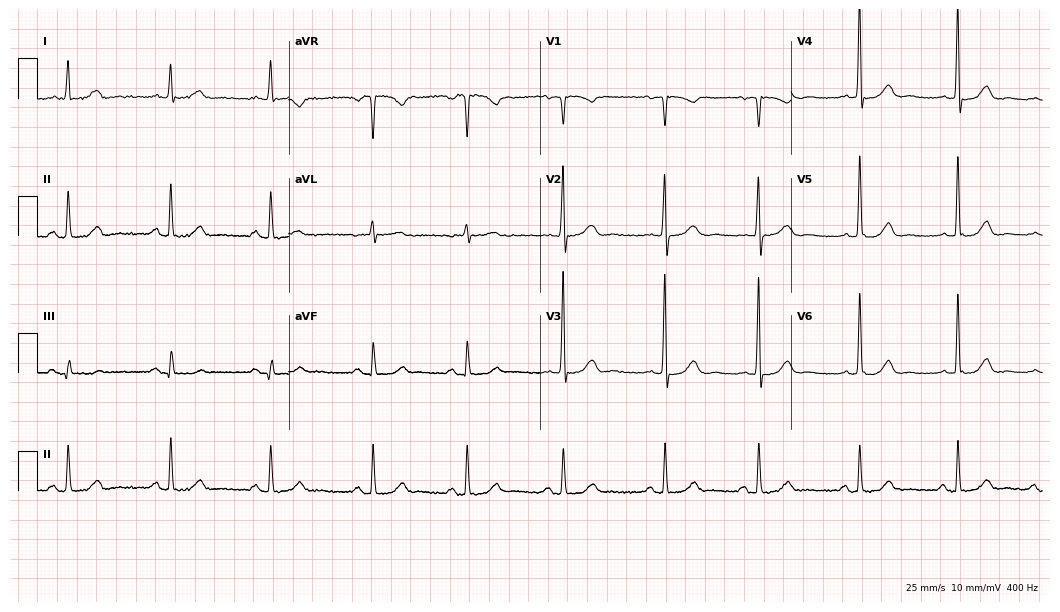
12-lead ECG from an 84-year-old woman. Recorded interpretation: within normal limits.